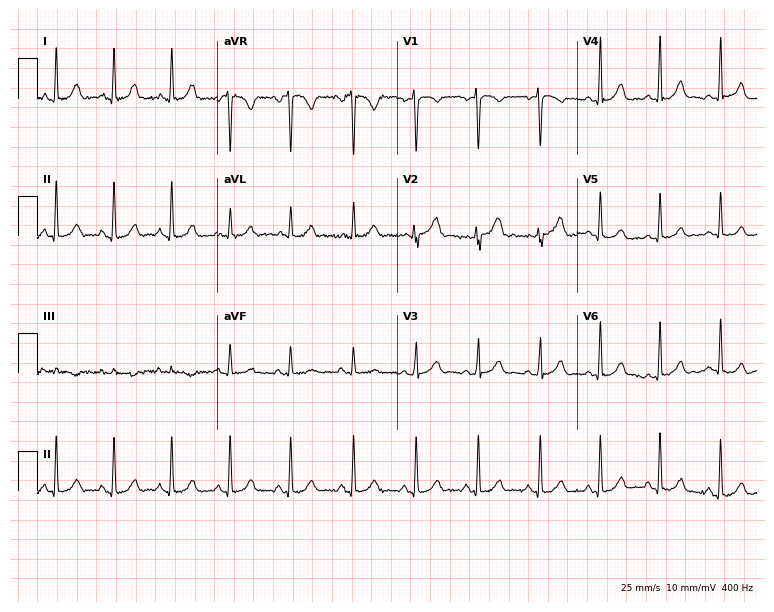
Standard 12-lead ECG recorded from a 30-year-old woman (7.3-second recording at 400 Hz). Read as a normal ECG.